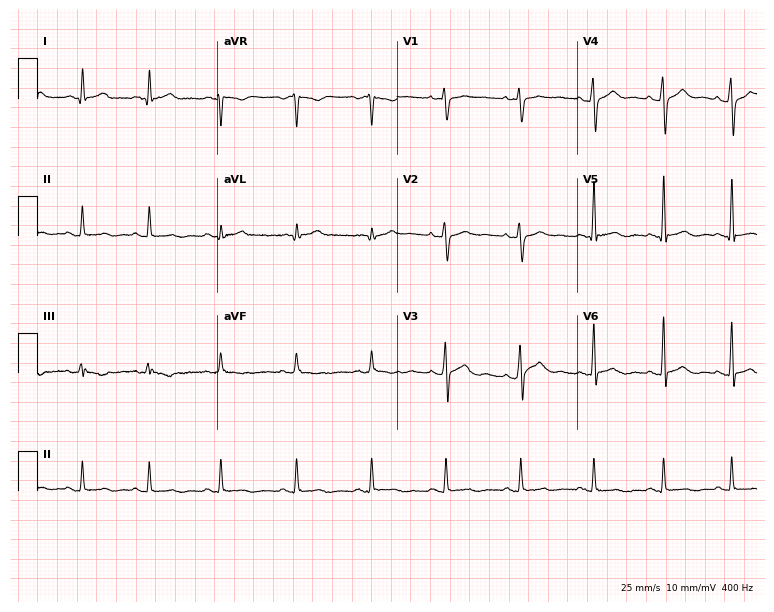
ECG — a man, 29 years old. Labelled as a normal ECG.